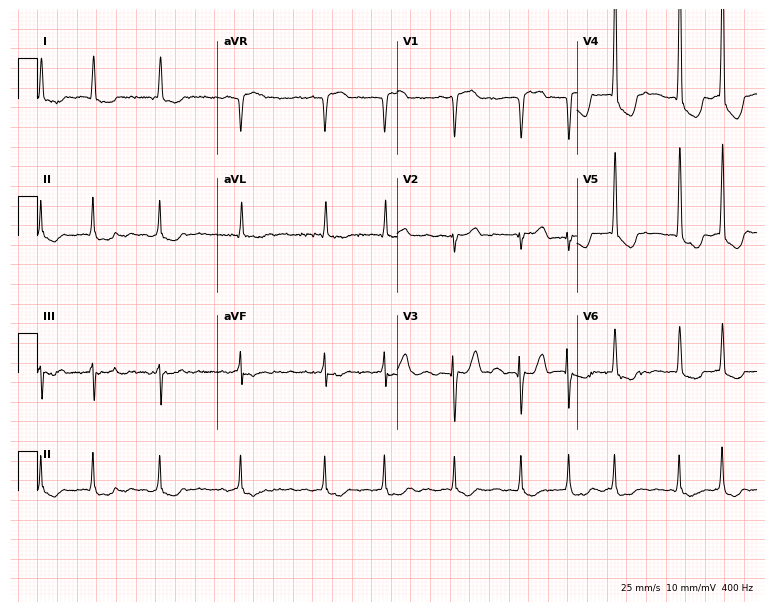
Electrocardiogram, a female, 83 years old. Interpretation includes atrial fibrillation.